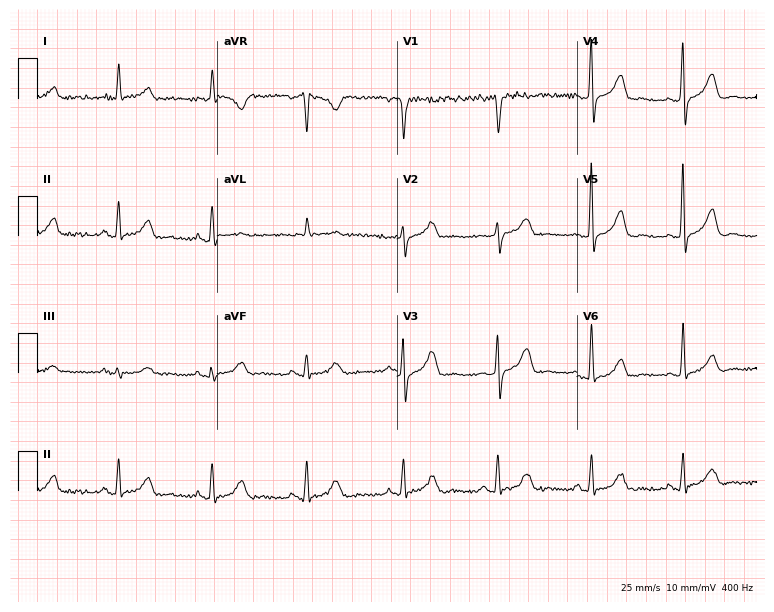
Resting 12-lead electrocardiogram. Patient: a 69-year-old male. None of these six findings is recorded: first-degree AV block, right bundle branch block, left bundle branch block, sinus bradycardia, atrial fibrillation, sinus tachycardia.